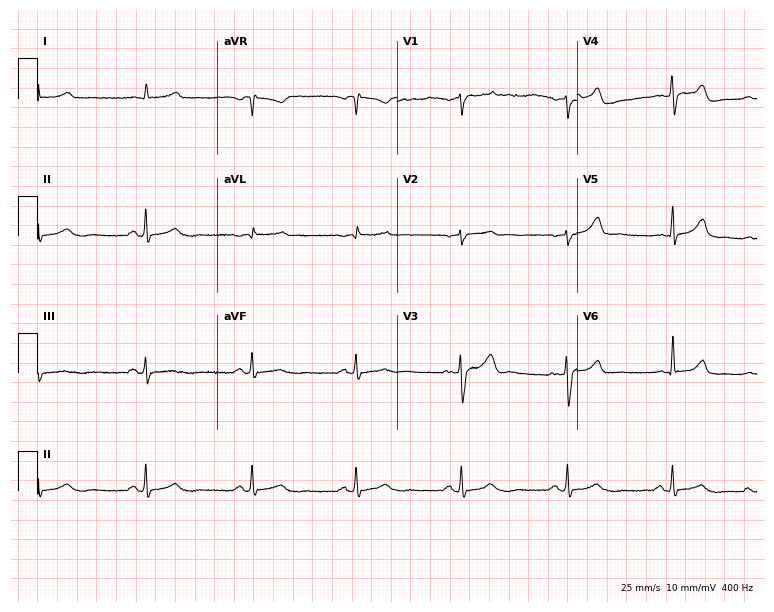
Standard 12-lead ECG recorded from a male patient, 61 years old (7.3-second recording at 400 Hz). Read as a normal ECG.